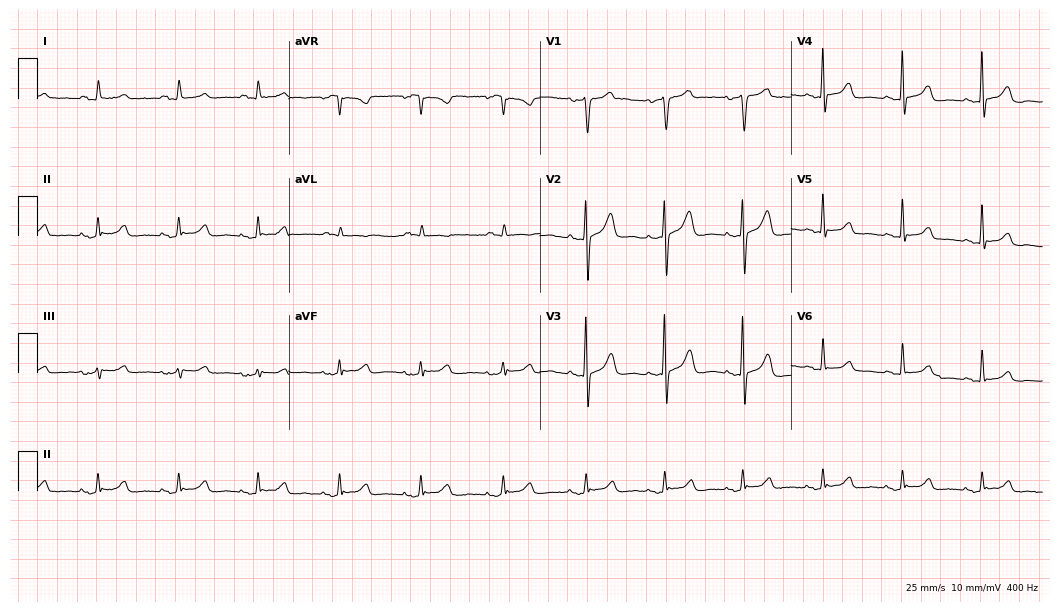
12-lead ECG from a 69-year-old female. Labelled as a normal ECG.